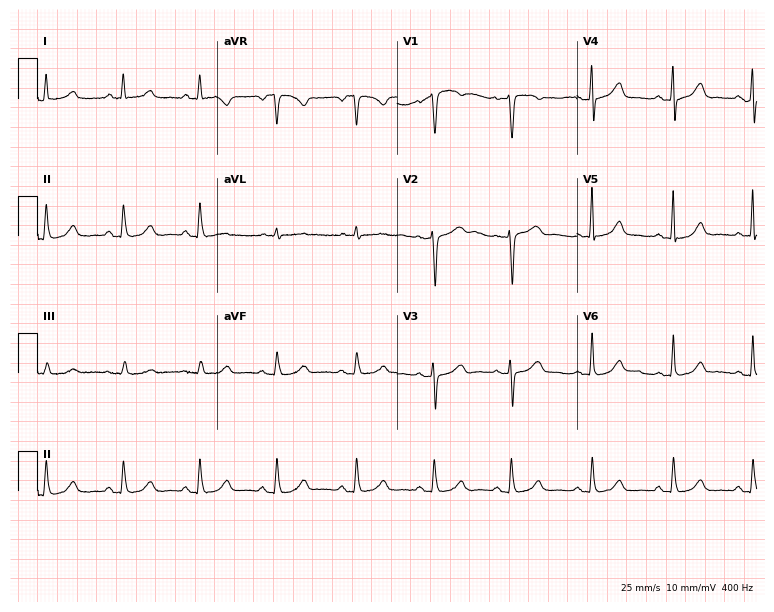
12-lead ECG from a 64-year-old woman (7.3-second recording at 400 Hz). Recorded interpretation: within normal limits.